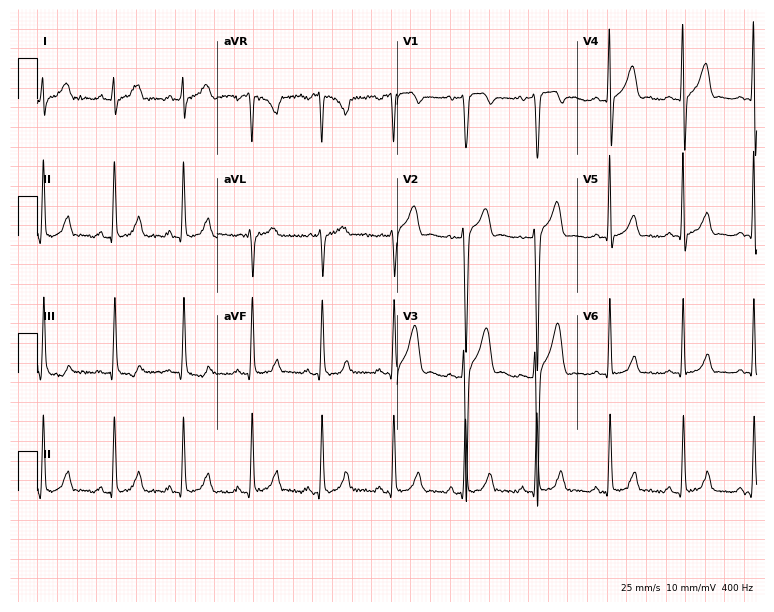
12-lead ECG from a man, 28 years old. No first-degree AV block, right bundle branch block (RBBB), left bundle branch block (LBBB), sinus bradycardia, atrial fibrillation (AF) or sinus tachycardia recorded for this tracing.